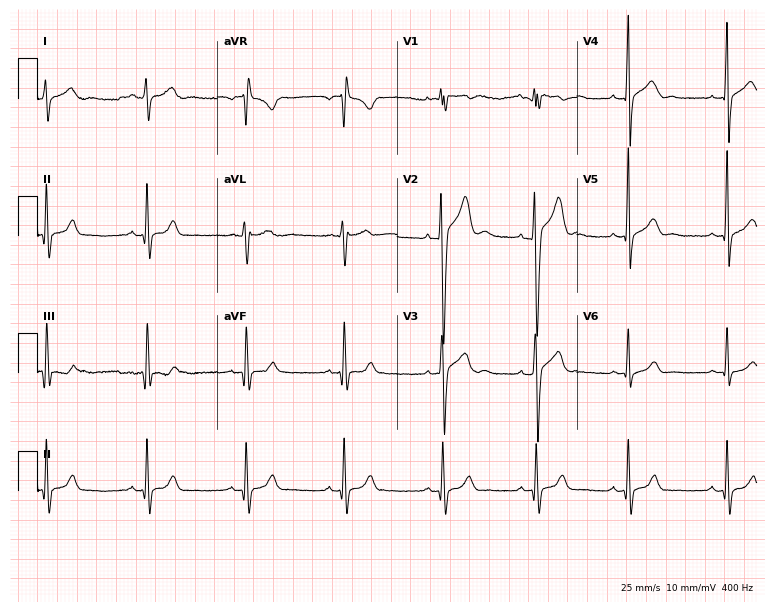
Resting 12-lead electrocardiogram. Patient: a 19-year-old man. None of these six findings is recorded: first-degree AV block, right bundle branch block (RBBB), left bundle branch block (LBBB), sinus bradycardia, atrial fibrillation (AF), sinus tachycardia.